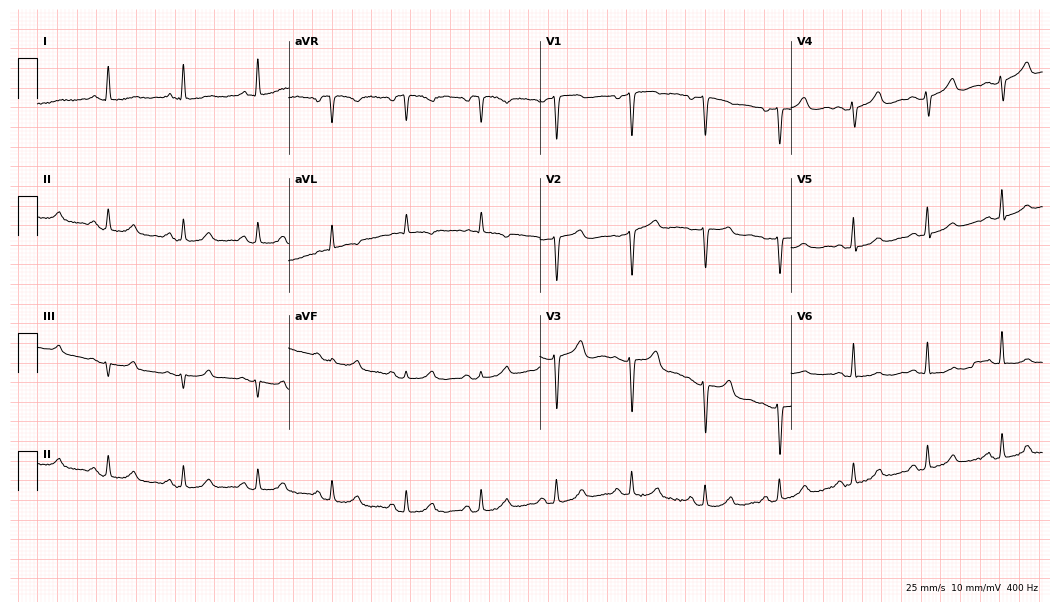
Electrocardiogram, a 57-year-old female. Of the six screened findings (first-degree AV block, right bundle branch block, left bundle branch block, sinus bradycardia, atrial fibrillation, sinus tachycardia), none is recorded.